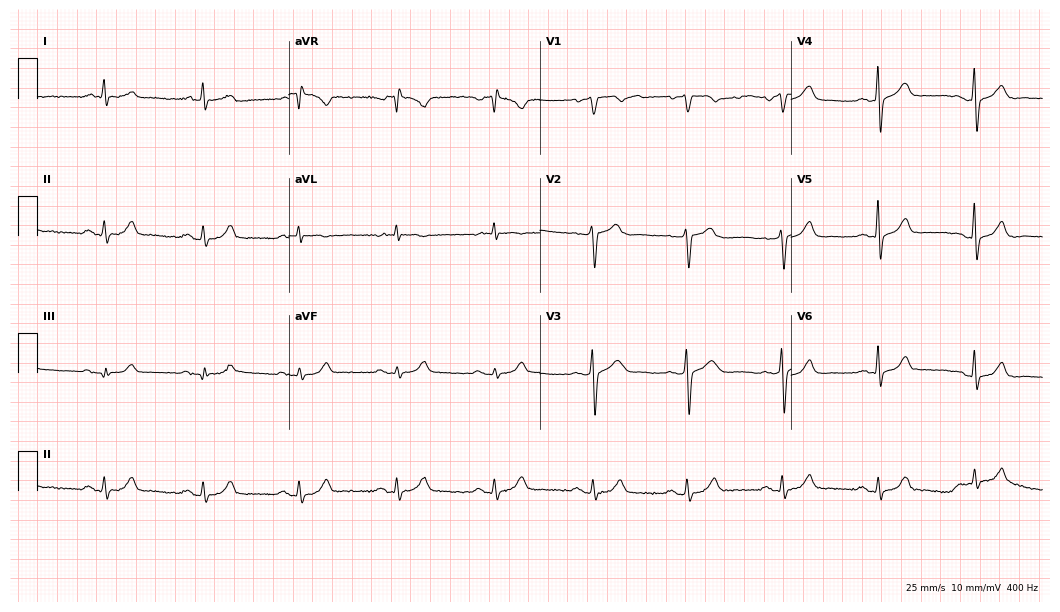
ECG (10.2-second recording at 400 Hz) — a 69-year-old man. Screened for six findings — first-degree AV block, right bundle branch block, left bundle branch block, sinus bradycardia, atrial fibrillation, sinus tachycardia — none is recorded.